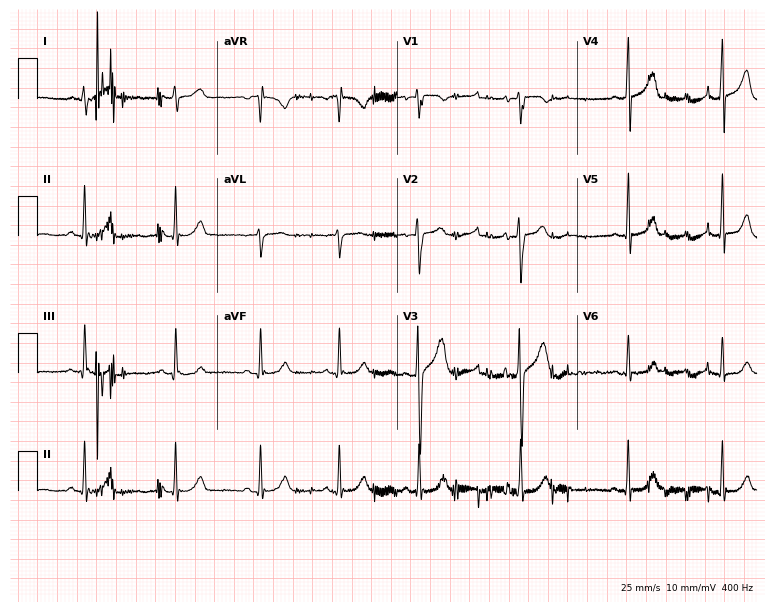
12-lead ECG (7.3-second recording at 400 Hz) from a 20-year-old male. Labelled as a normal ECG.